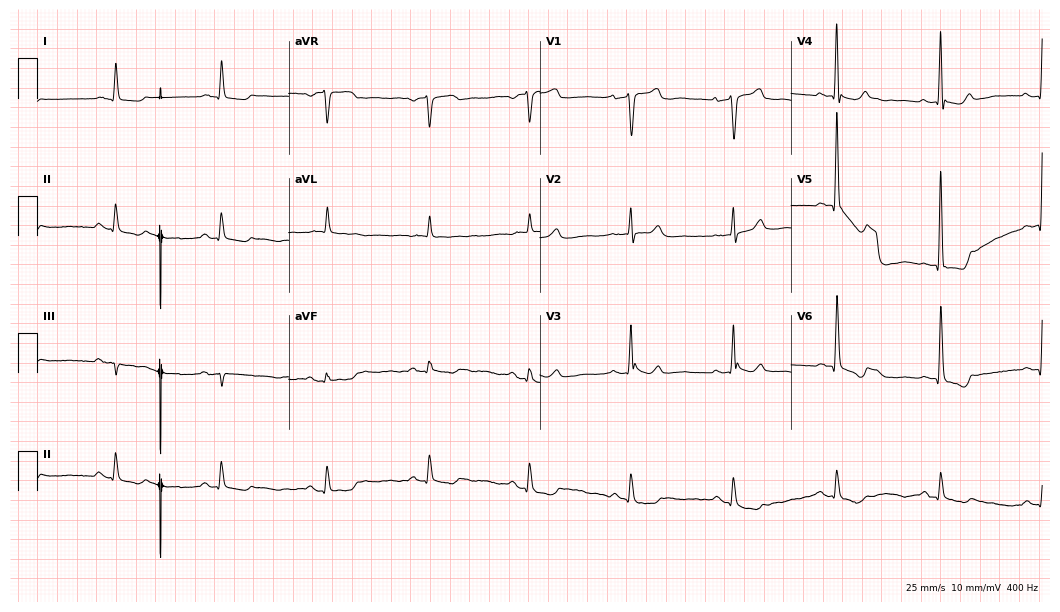
12-lead ECG from a 71-year-old female. Screened for six findings — first-degree AV block, right bundle branch block, left bundle branch block, sinus bradycardia, atrial fibrillation, sinus tachycardia — none is recorded. Other findings, if any, are not listed.